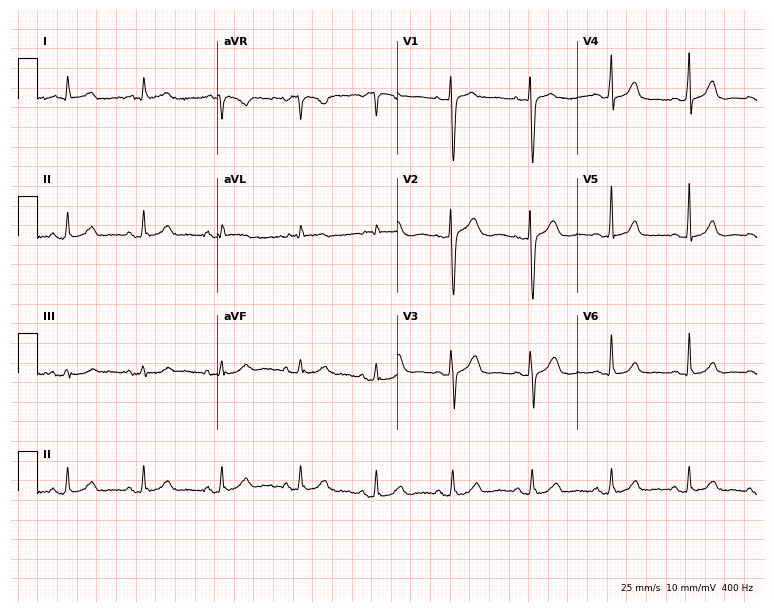
Resting 12-lead electrocardiogram (7.3-second recording at 400 Hz). Patient: a woman, 49 years old. Read as a normal ECG.